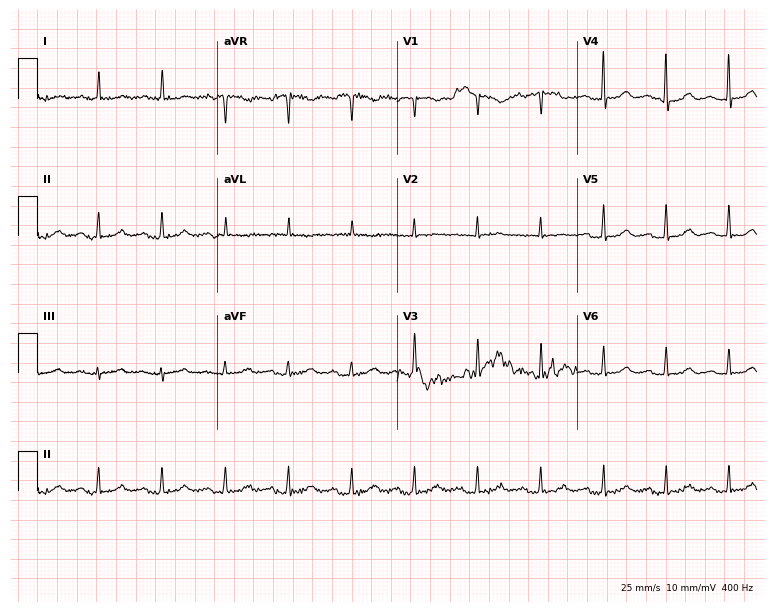
12-lead ECG from an 80-year-old woman. No first-degree AV block, right bundle branch block, left bundle branch block, sinus bradycardia, atrial fibrillation or sinus tachycardia recorded for this tracing.